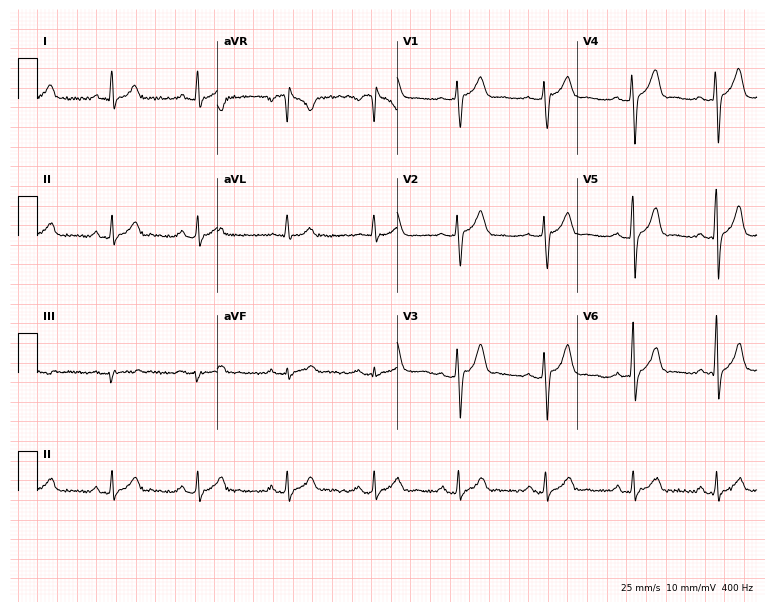
12-lead ECG from a 36-year-old man (7.3-second recording at 400 Hz). No first-degree AV block, right bundle branch block, left bundle branch block, sinus bradycardia, atrial fibrillation or sinus tachycardia recorded for this tracing. Other findings, if any, are not listed.